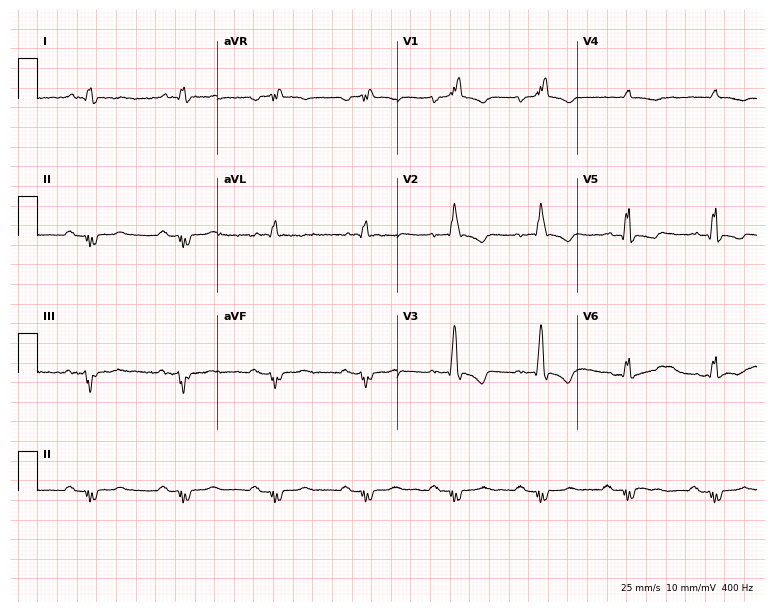
Resting 12-lead electrocardiogram (7.3-second recording at 400 Hz). Patient: a man, 40 years old. None of these six findings is recorded: first-degree AV block, right bundle branch block, left bundle branch block, sinus bradycardia, atrial fibrillation, sinus tachycardia. Findings outside these six are not listed.